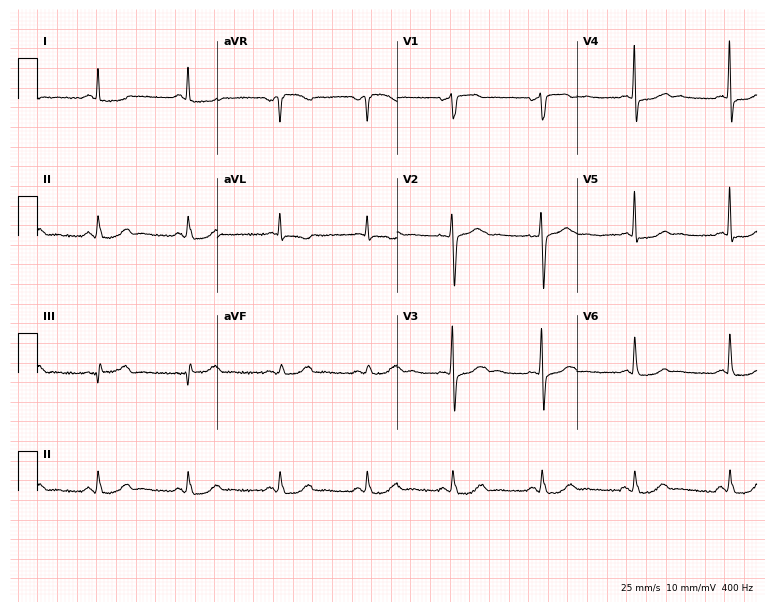
12-lead ECG (7.3-second recording at 400 Hz) from a 71-year-old female patient. Screened for six findings — first-degree AV block, right bundle branch block, left bundle branch block, sinus bradycardia, atrial fibrillation, sinus tachycardia — none is recorded.